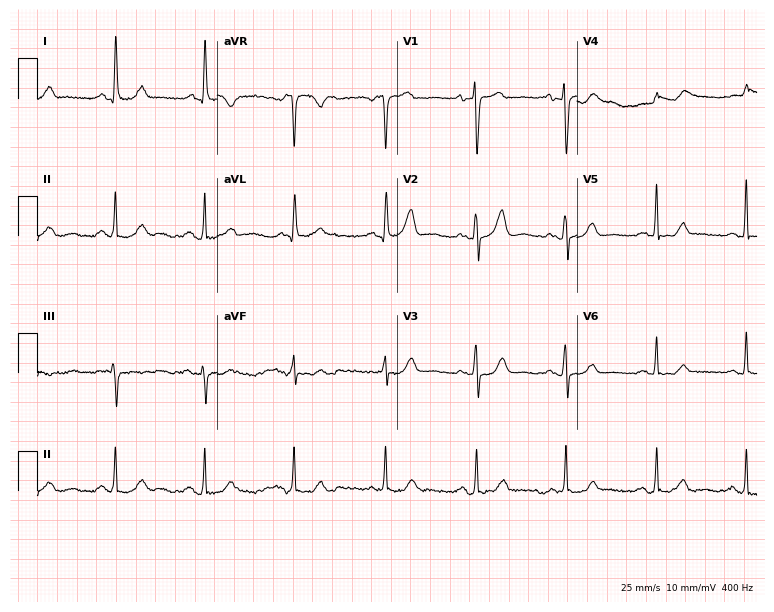
12-lead ECG from a woman, 63 years old. Labelled as a normal ECG.